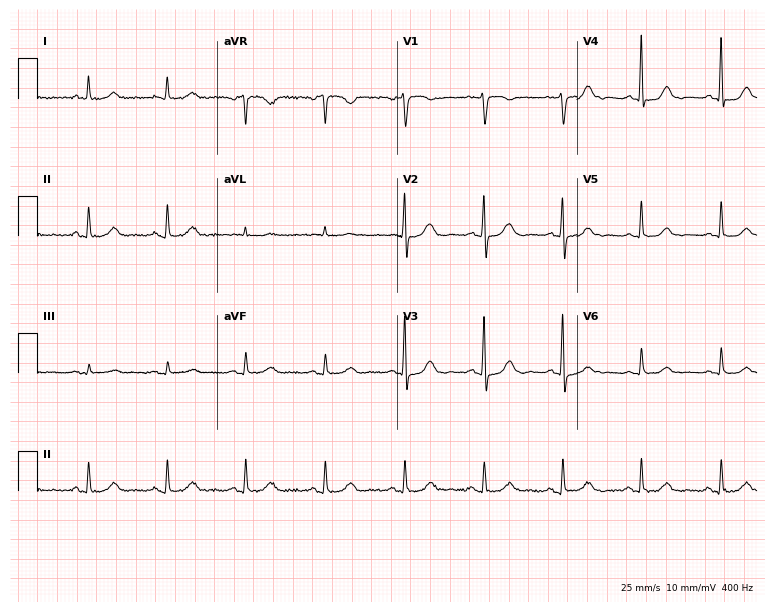
12-lead ECG from a female, 69 years old. Recorded interpretation: within normal limits.